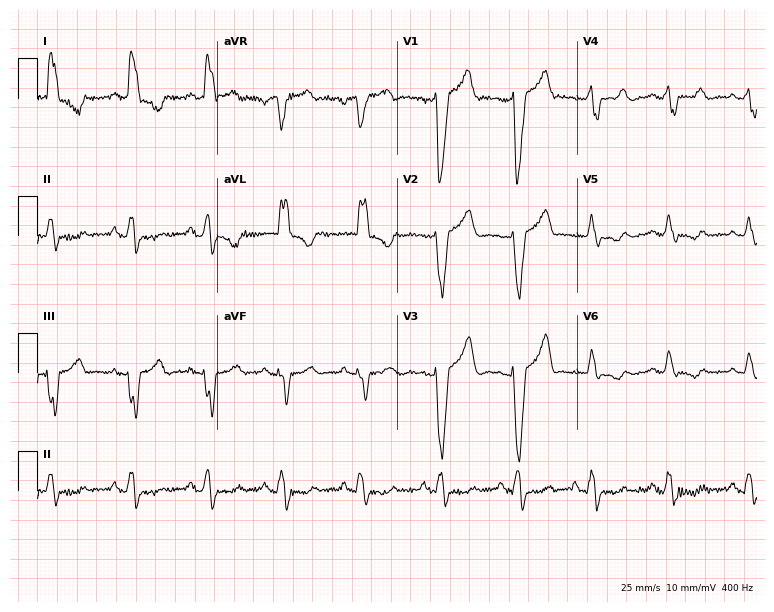
Standard 12-lead ECG recorded from a female, 55 years old (7.3-second recording at 400 Hz). The tracing shows left bundle branch block (LBBB).